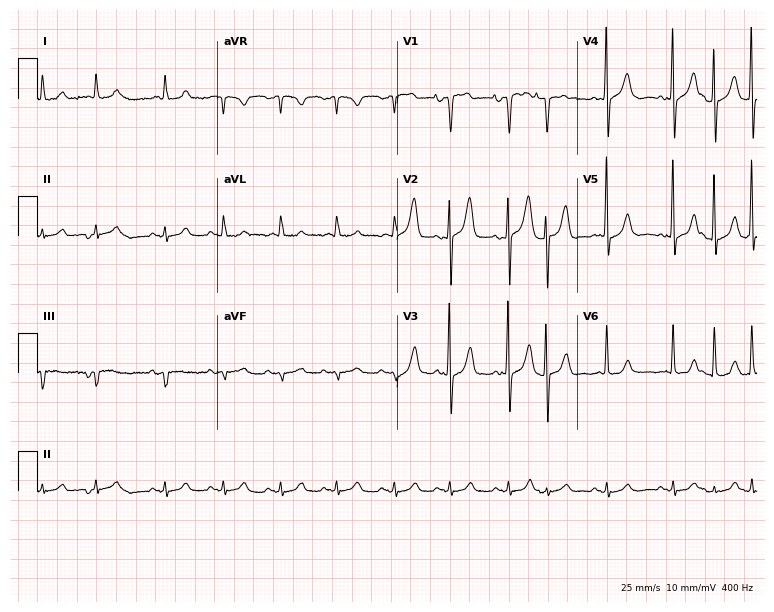
Standard 12-lead ECG recorded from a 79-year-old male patient (7.3-second recording at 400 Hz). None of these six findings is recorded: first-degree AV block, right bundle branch block (RBBB), left bundle branch block (LBBB), sinus bradycardia, atrial fibrillation (AF), sinus tachycardia.